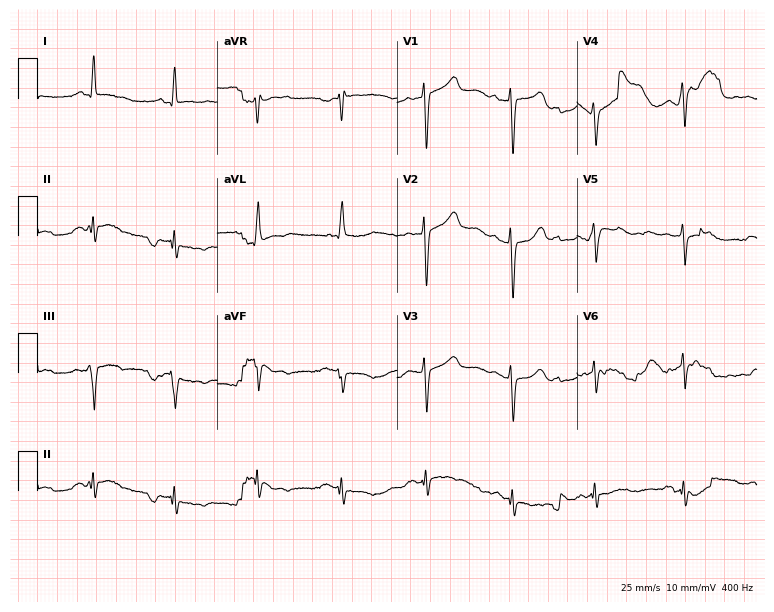
Electrocardiogram (7.3-second recording at 400 Hz), a female patient, 64 years old. Of the six screened findings (first-degree AV block, right bundle branch block, left bundle branch block, sinus bradycardia, atrial fibrillation, sinus tachycardia), none is recorded.